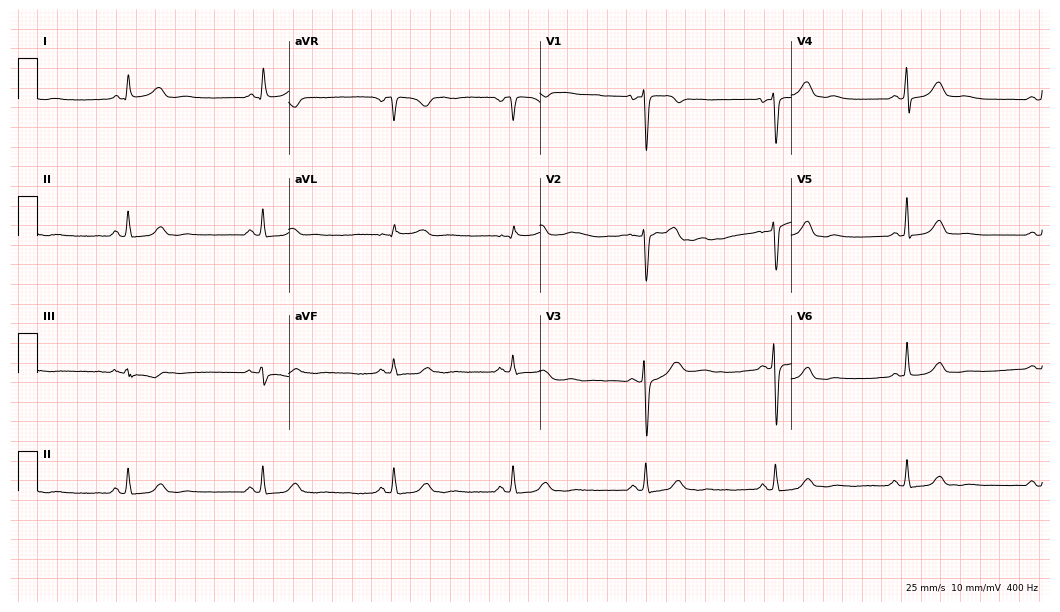
ECG — a 57-year-old female patient. Screened for six findings — first-degree AV block, right bundle branch block (RBBB), left bundle branch block (LBBB), sinus bradycardia, atrial fibrillation (AF), sinus tachycardia — none is recorded. Only these six findings were labelled.